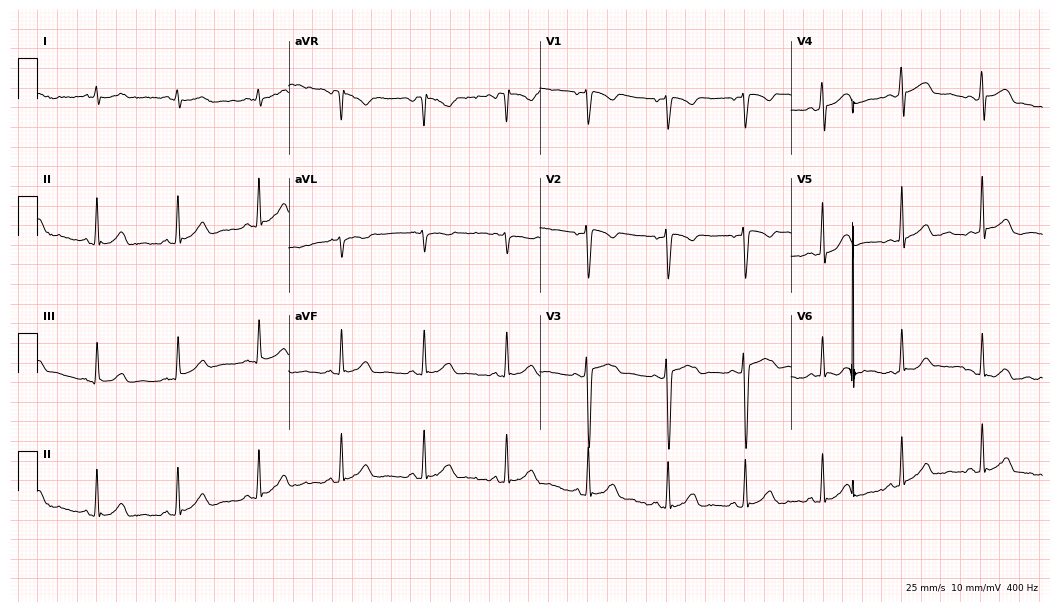
12-lead ECG from a 34-year-old female patient. Labelled as a normal ECG.